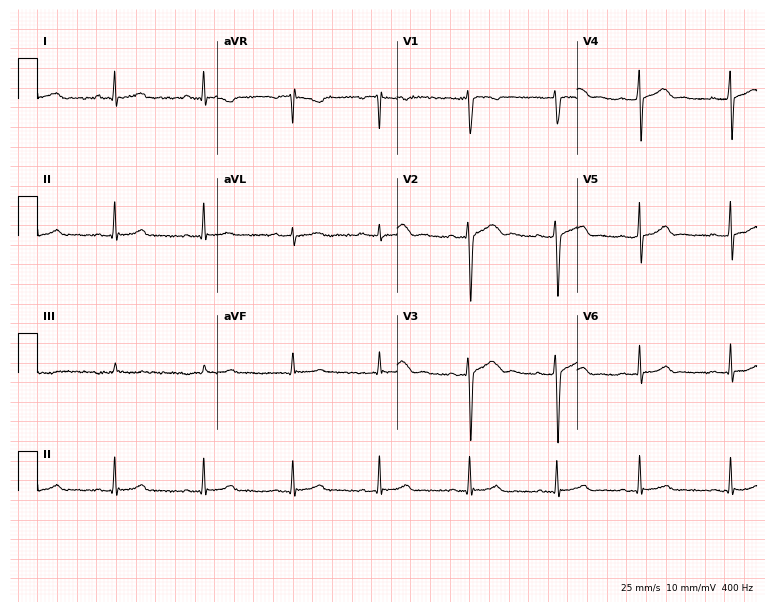
Electrocardiogram (7.3-second recording at 400 Hz), a female patient, 17 years old. Overall reading on record: normal ECG.